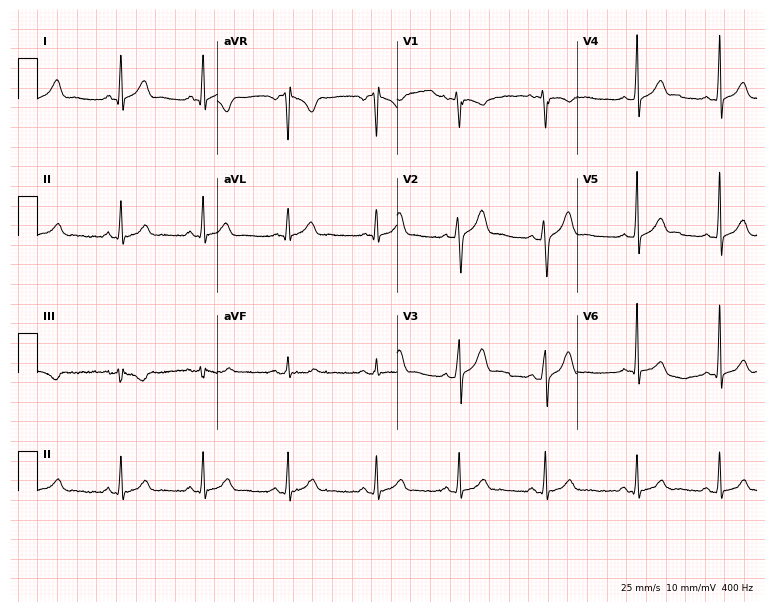
12-lead ECG from a male, 23 years old. Labelled as a normal ECG.